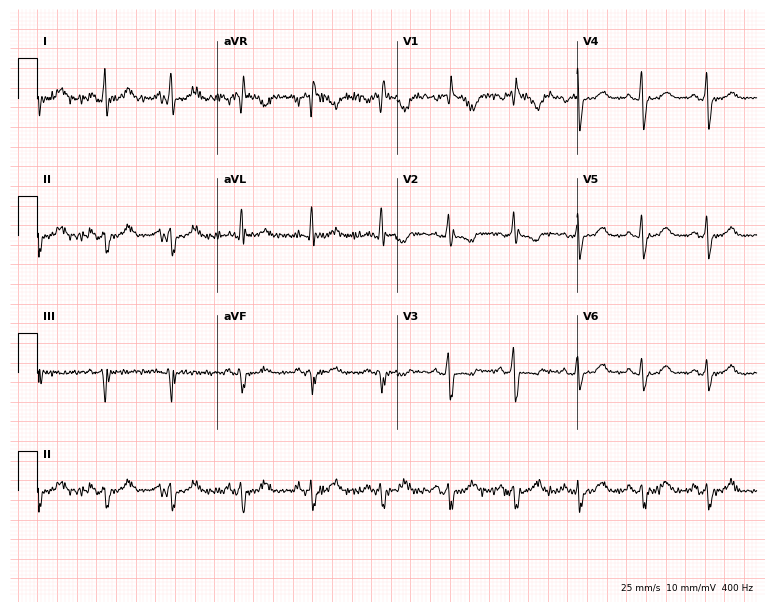
Standard 12-lead ECG recorded from a female patient, 43 years old. None of these six findings is recorded: first-degree AV block, right bundle branch block, left bundle branch block, sinus bradycardia, atrial fibrillation, sinus tachycardia. Other findings, if any, are not listed.